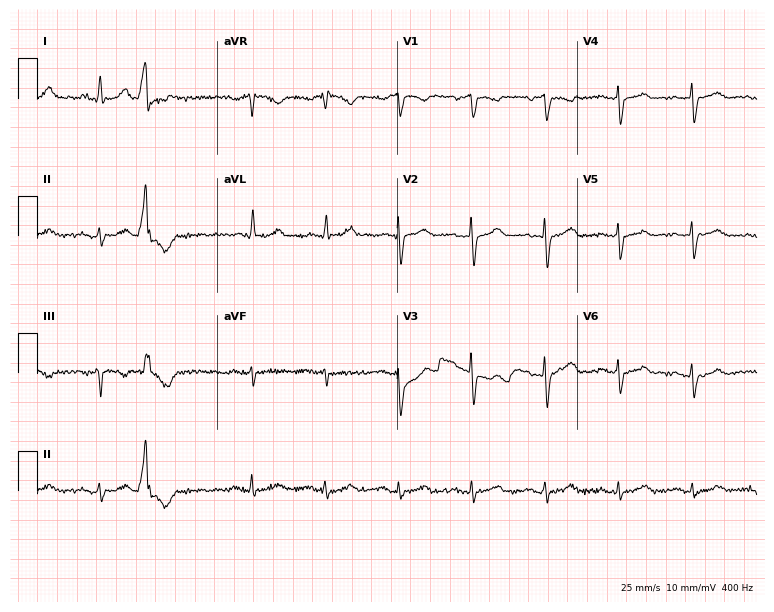
Electrocardiogram (7.3-second recording at 400 Hz), a female, 81 years old. Overall reading on record: normal ECG.